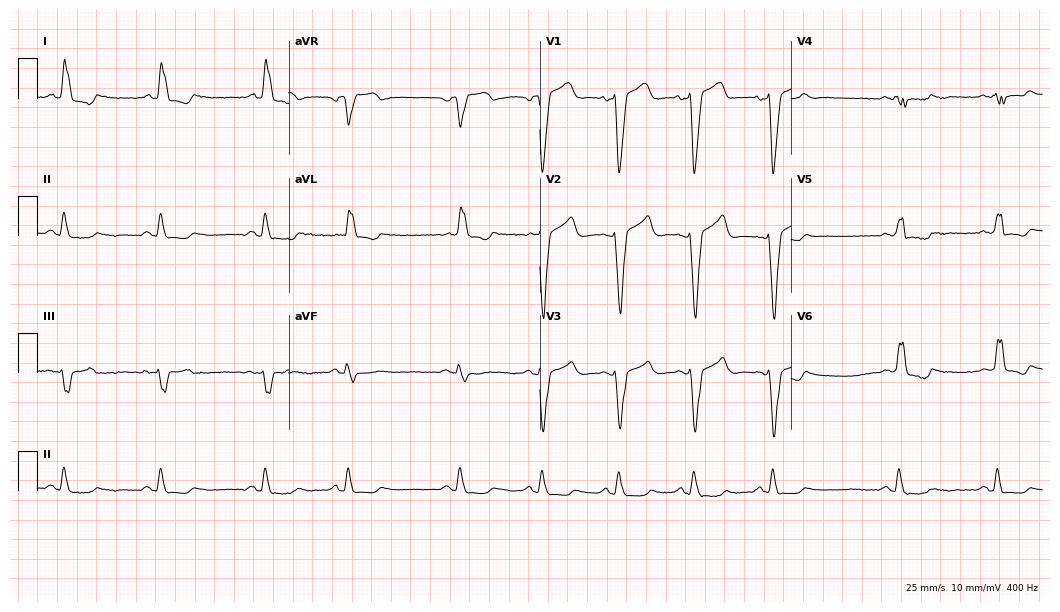
ECG (10.2-second recording at 400 Hz) — a 65-year-old male patient. Findings include left bundle branch block.